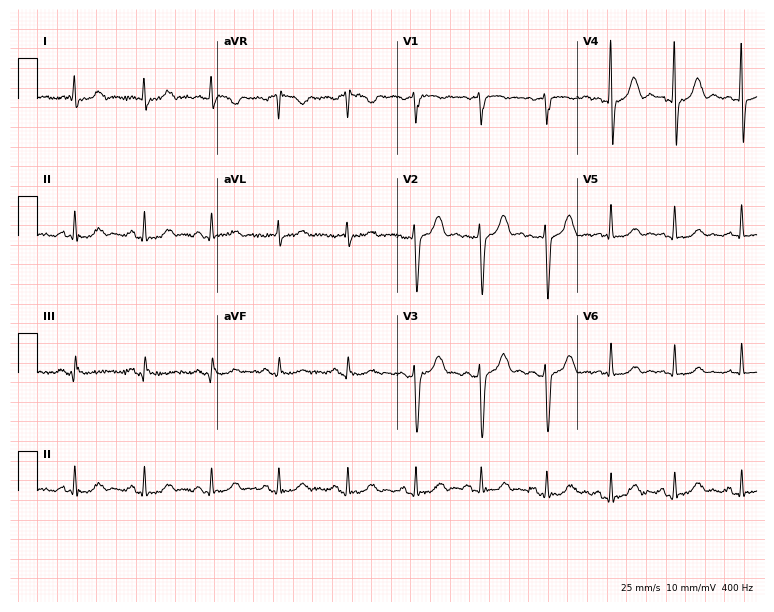
12-lead ECG from a man, 49 years old. Screened for six findings — first-degree AV block, right bundle branch block, left bundle branch block, sinus bradycardia, atrial fibrillation, sinus tachycardia — none is recorded. Only these six findings were labelled.